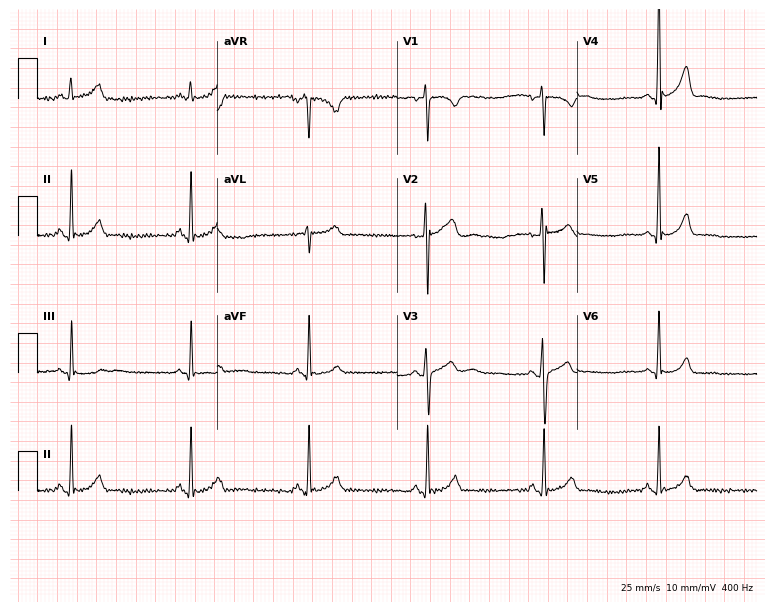
Resting 12-lead electrocardiogram (7.3-second recording at 400 Hz). Patient: a male, 28 years old. The tracing shows sinus bradycardia (a sinus rate of 50 beats per minute or less).